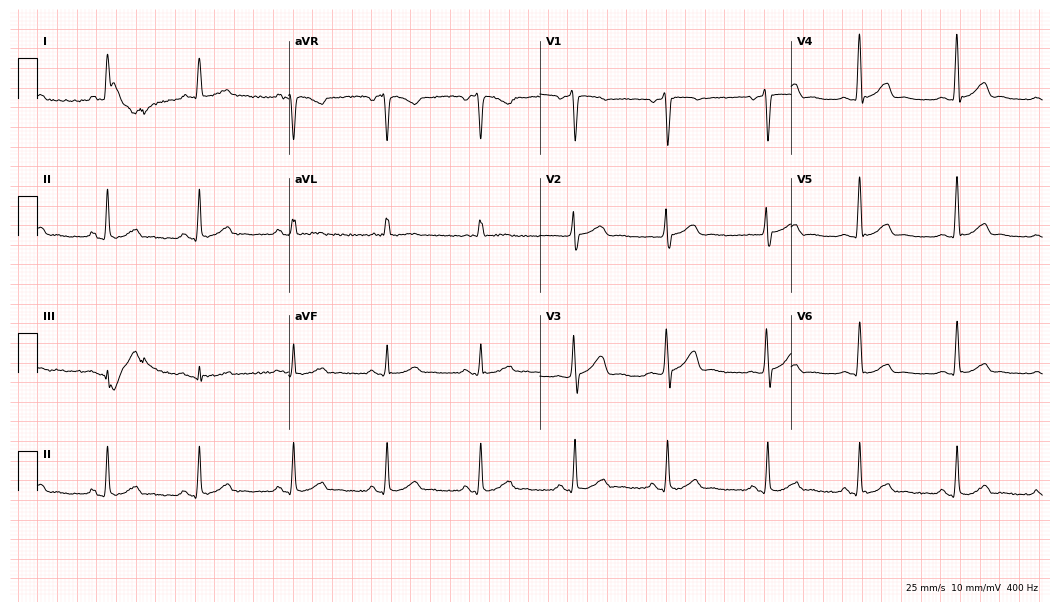
Standard 12-lead ECG recorded from a 62-year-old male patient. Read as a normal ECG.